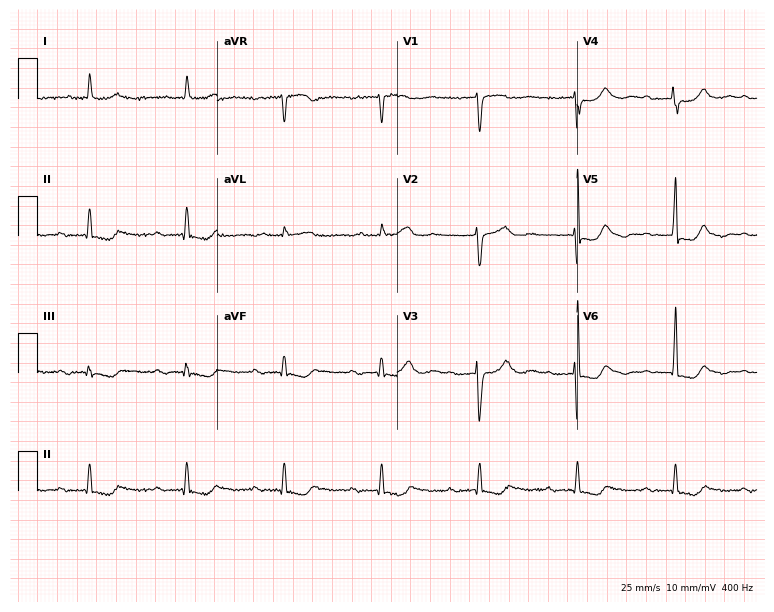
Standard 12-lead ECG recorded from a 77-year-old male. The tracing shows first-degree AV block.